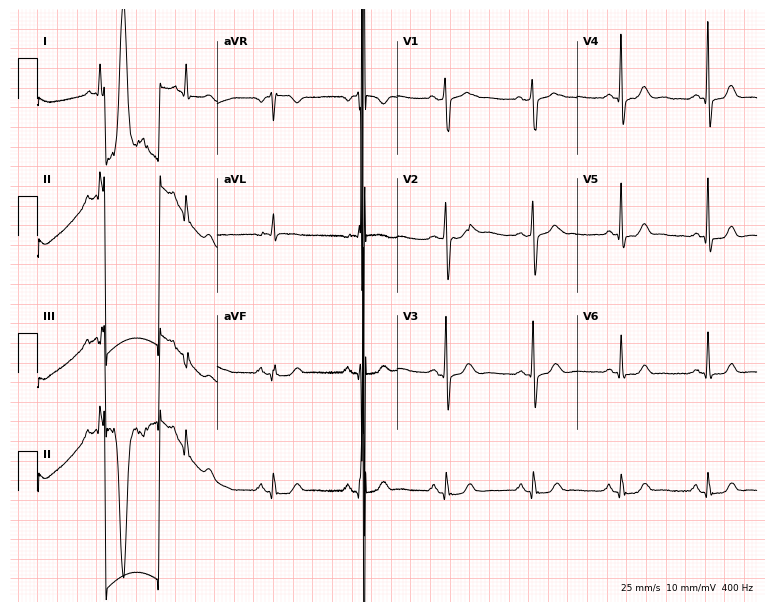
Electrocardiogram, a woman, 77 years old. Overall reading on record: normal ECG.